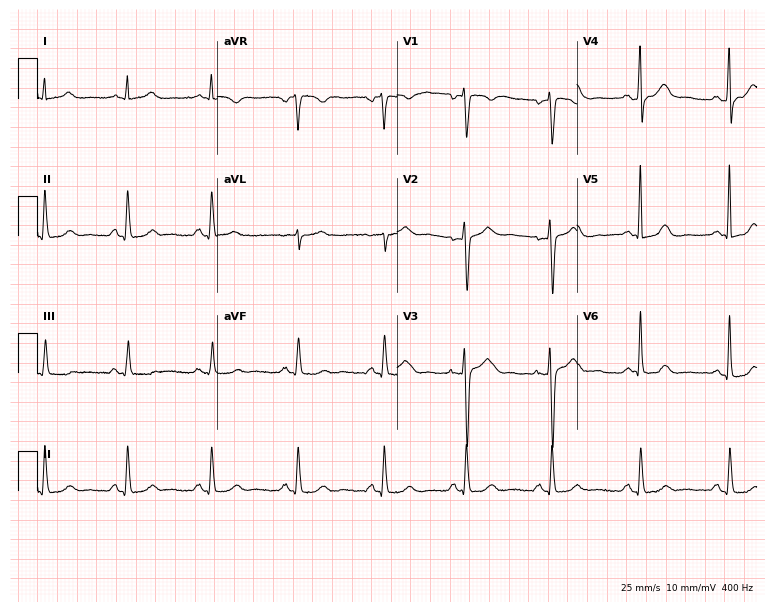
ECG (7.3-second recording at 400 Hz) — a 43-year-old female patient. Screened for six findings — first-degree AV block, right bundle branch block, left bundle branch block, sinus bradycardia, atrial fibrillation, sinus tachycardia — none is recorded.